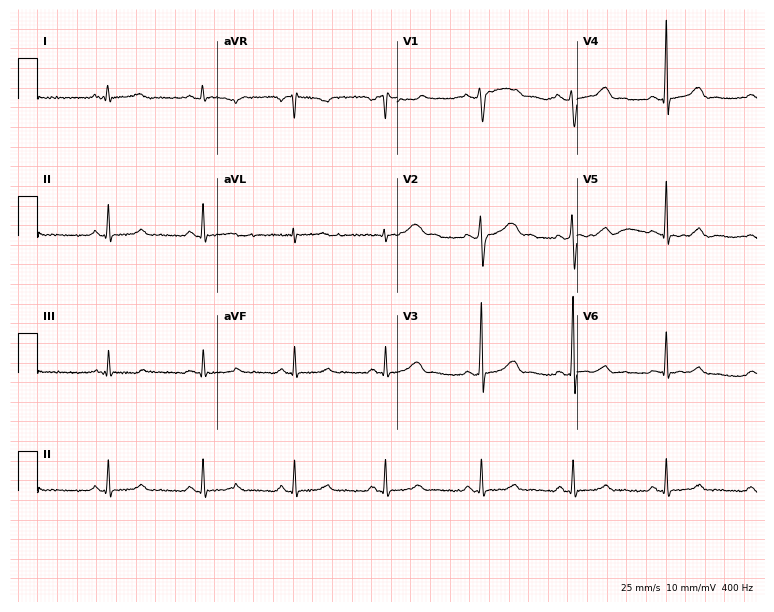
Standard 12-lead ECG recorded from a woman, 29 years old. None of these six findings is recorded: first-degree AV block, right bundle branch block (RBBB), left bundle branch block (LBBB), sinus bradycardia, atrial fibrillation (AF), sinus tachycardia.